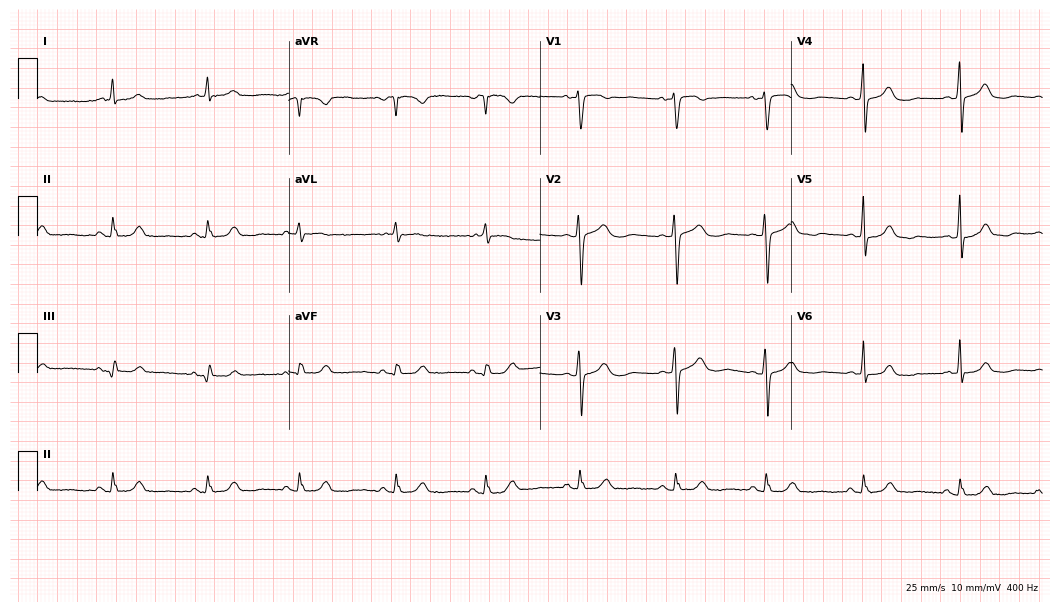
12-lead ECG from a female, 60 years old. Labelled as a normal ECG.